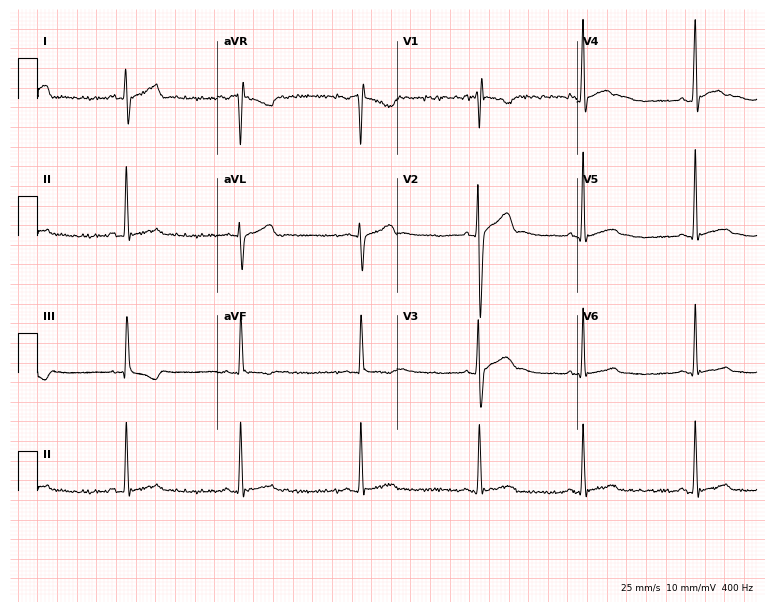
Resting 12-lead electrocardiogram. Patient: a 17-year-old male. None of these six findings is recorded: first-degree AV block, right bundle branch block, left bundle branch block, sinus bradycardia, atrial fibrillation, sinus tachycardia.